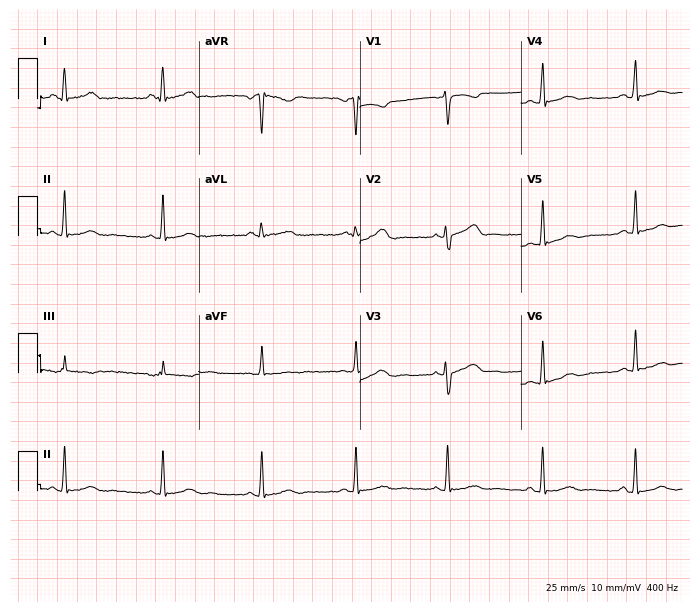
12-lead ECG from a 31-year-old woman. Labelled as a normal ECG.